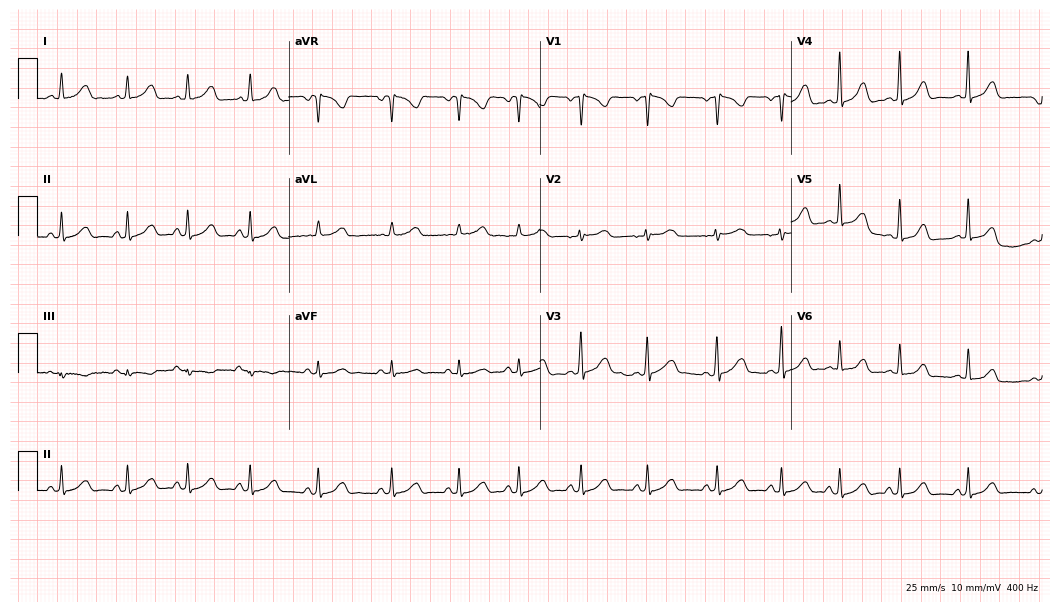
Standard 12-lead ECG recorded from a woman, 21 years old (10.2-second recording at 400 Hz). Read as a normal ECG.